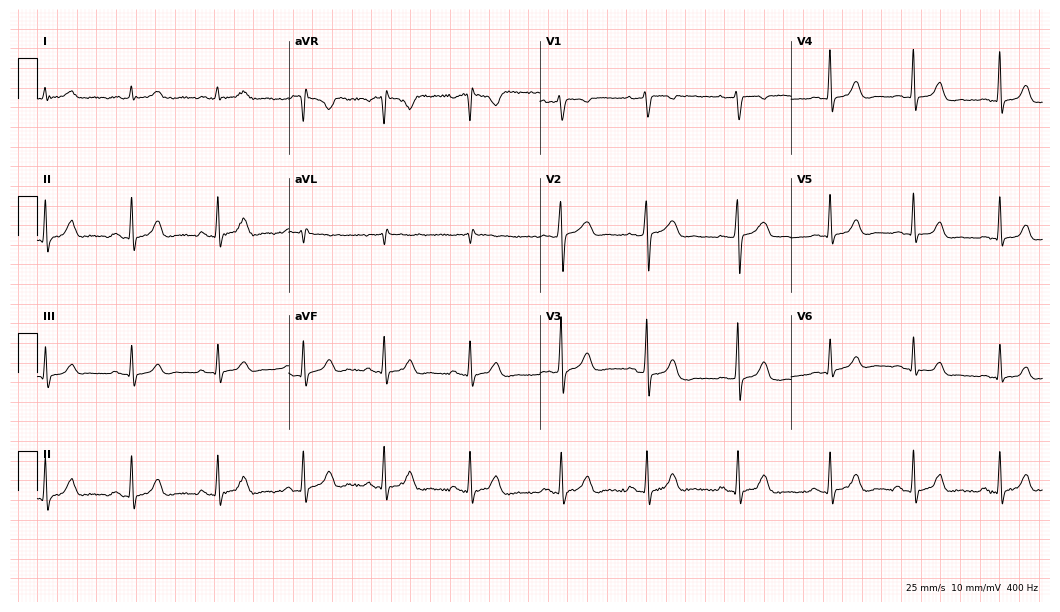
Standard 12-lead ECG recorded from a female patient, 43 years old. Read as a normal ECG.